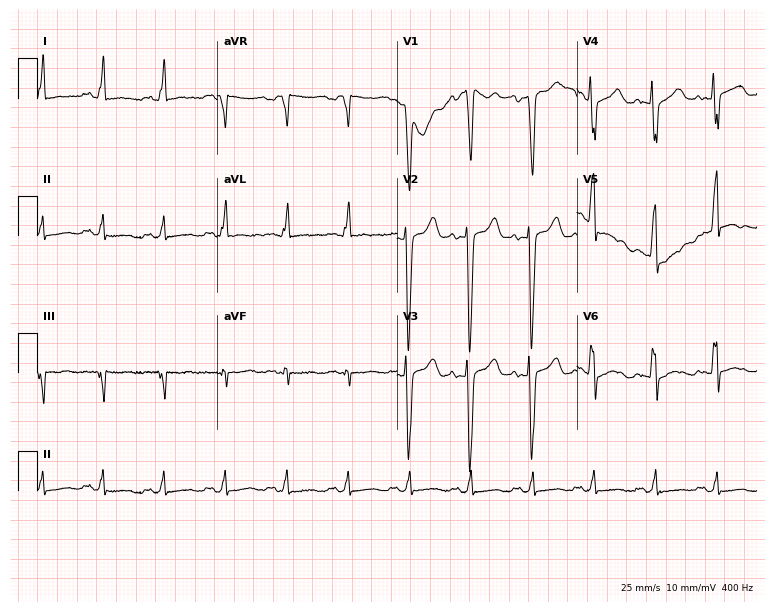
Electrocardiogram, a male patient, 43 years old. Of the six screened findings (first-degree AV block, right bundle branch block, left bundle branch block, sinus bradycardia, atrial fibrillation, sinus tachycardia), none is recorded. Only these six findings were labelled.